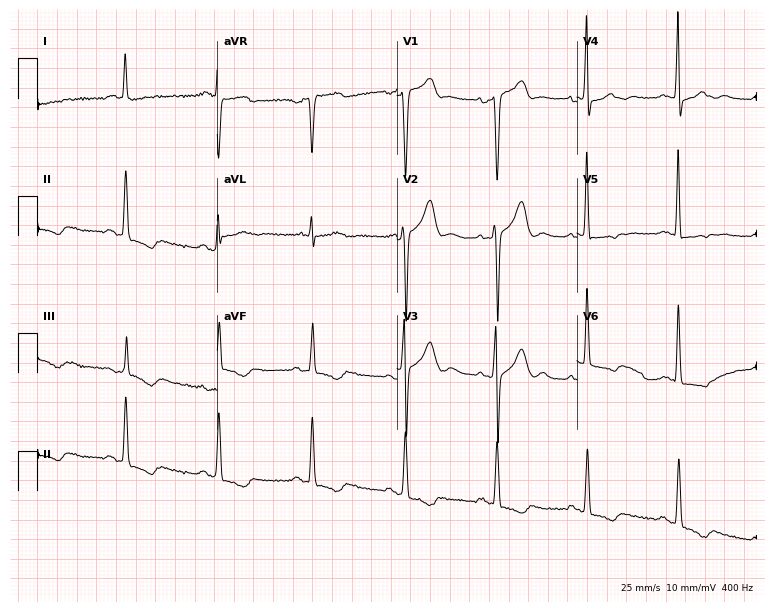
ECG — a 63-year-old man. Screened for six findings — first-degree AV block, right bundle branch block, left bundle branch block, sinus bradycardia, atrial fibrillation, sinus tachycardia — none is recorded. Only these six findings were labelled.